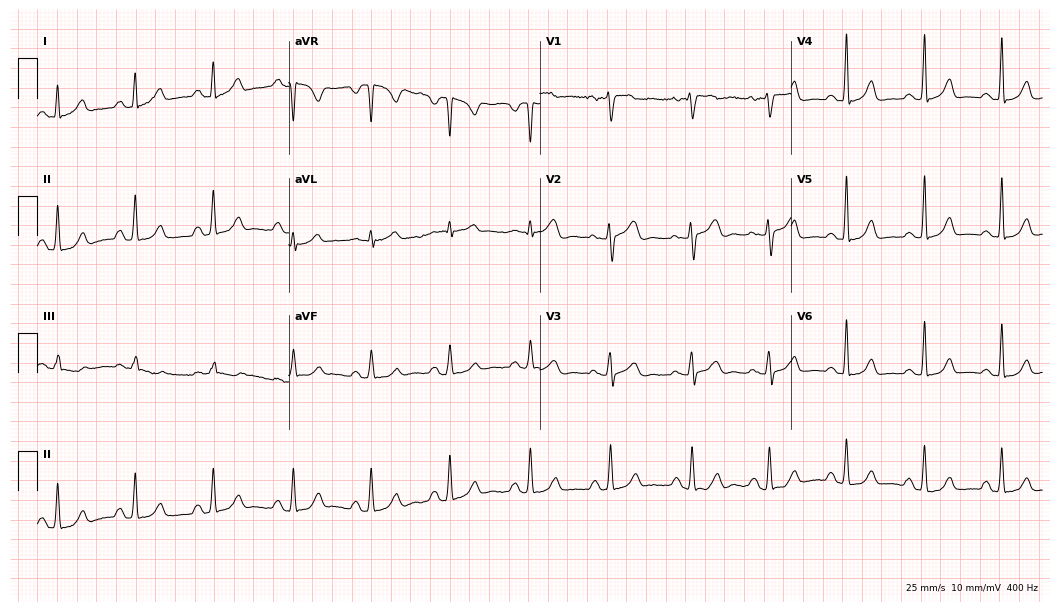
Resting 12-lead electrocardiogram. Patient: a female, 36 years old. Read as a normal ECG.